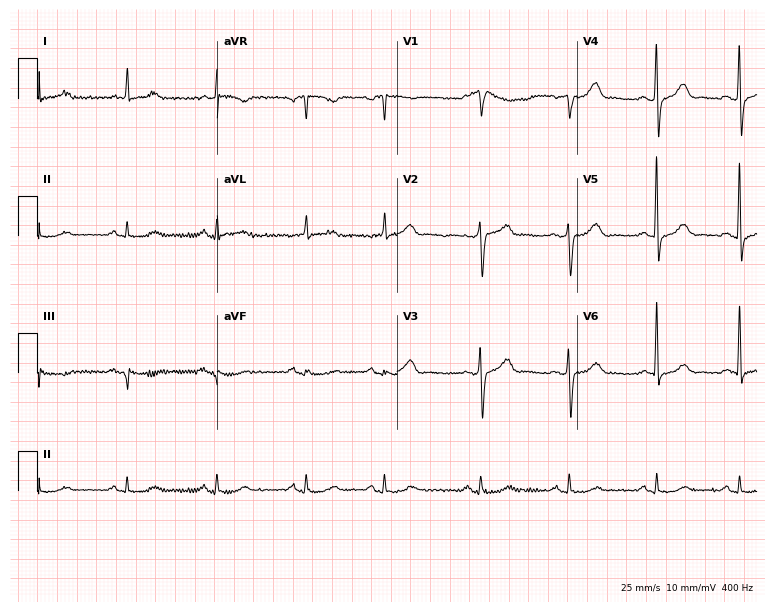
12-lead ECG from a 77-year-old male patient. No first-degree AV block, right bundle branch block (RBBB), left bundle branch block (LBBB), sinus bradycardia, atrial fibrillation (AF) or sinus tachycardia recorded for this tracing.